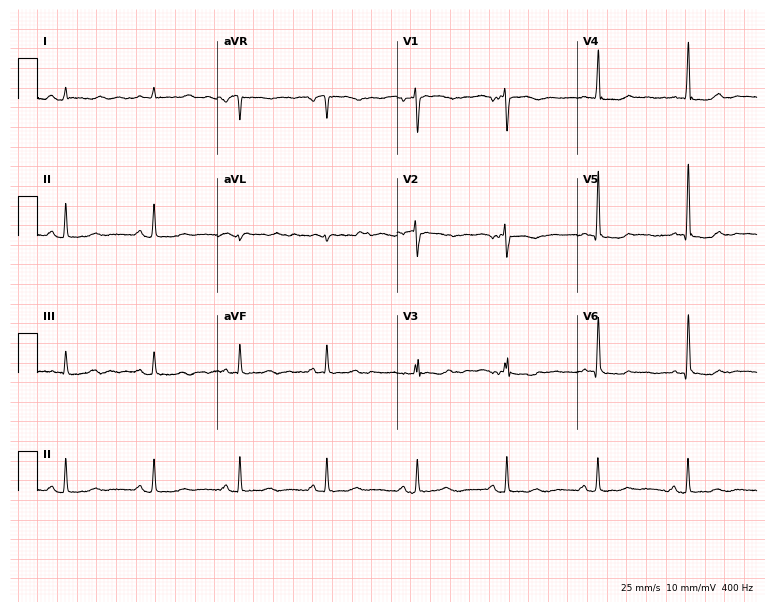
Resting 12-lead electrocardiogram. Patient: a 48-year-old female. None of these six findings is recorded: first-degree AV block, right bundle branch block, left bundle branch block, sinus bradycardia, atrial fibrillation, sinus tachycardia. Other findings, if any, are not listed.